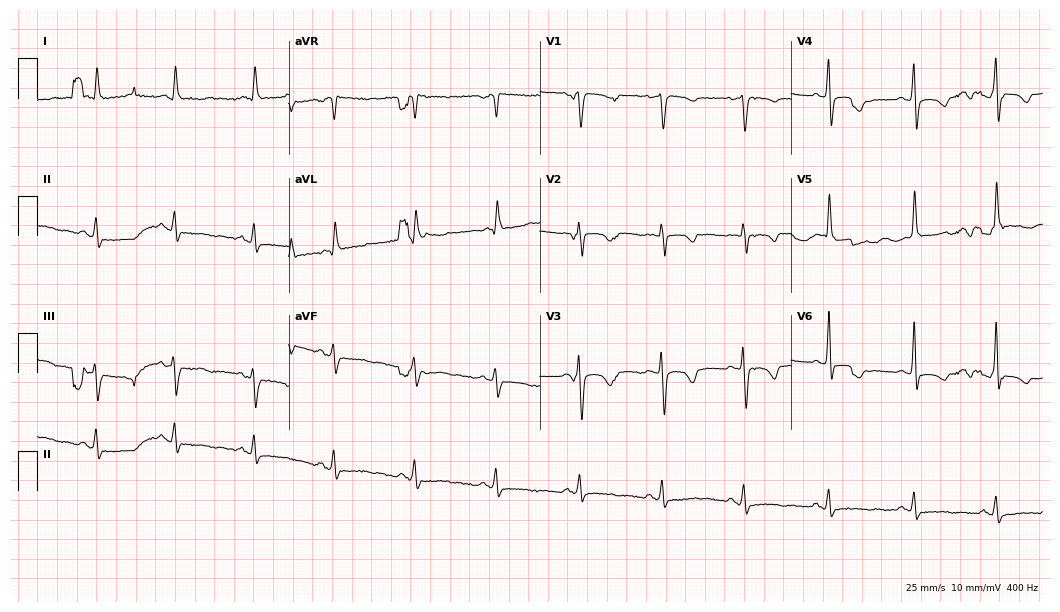
12-lead ECG from a woman, 81 years old. Screened for six findings — first-degree AV block, right bundle branch block, left bundle branch block, sinus bradycardia, atrial fibrillation, sinus tachycardia — none is recorded. Only these six findings were labelled.